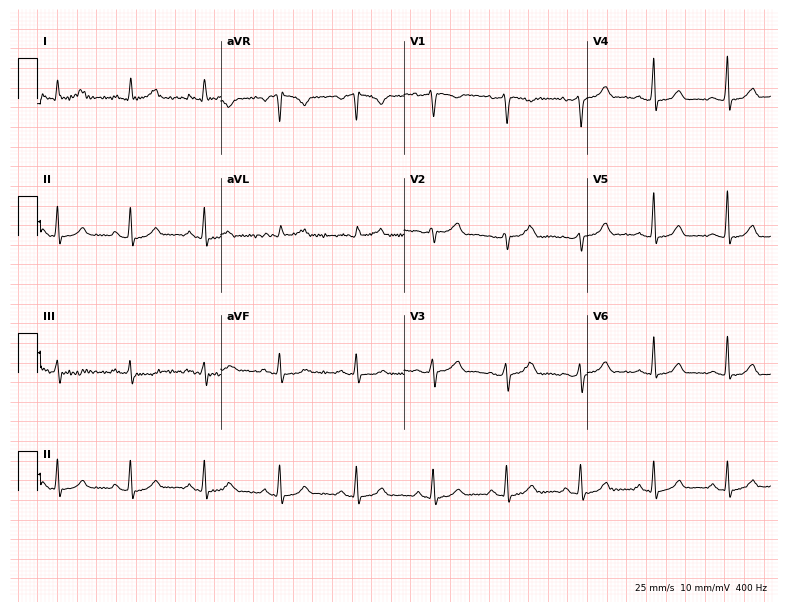
Electrocardiogram (7.5-second recording at 400 Hz), a female, 39 years old. Overall reading on record: normal ECG.